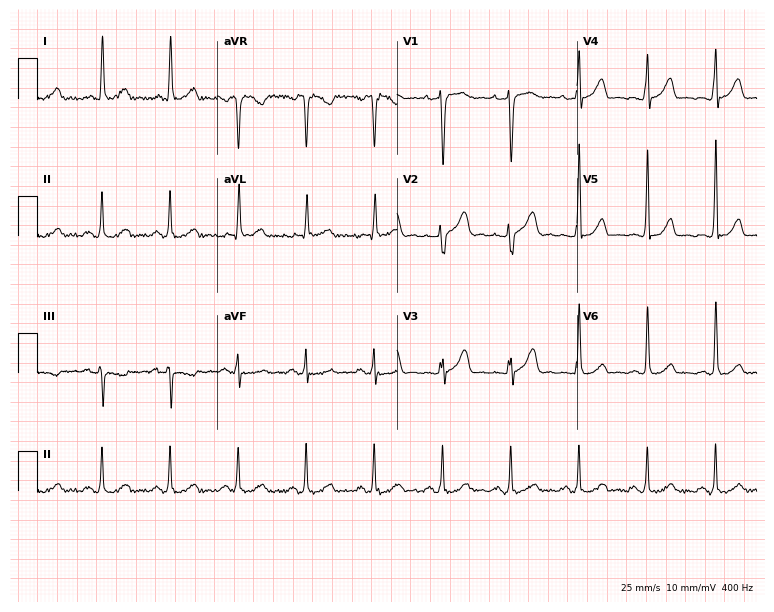
12-lead ECG (7.3-second recording at 400 Hz) from a 55-year-old woman. Screened for six findings — first-degree AV block, right bundle branch block, left bundle branch block, sinus bradycardia, atrial fibrillation, sinus tachycardia — none is recorded. Only these six findings were labelled.